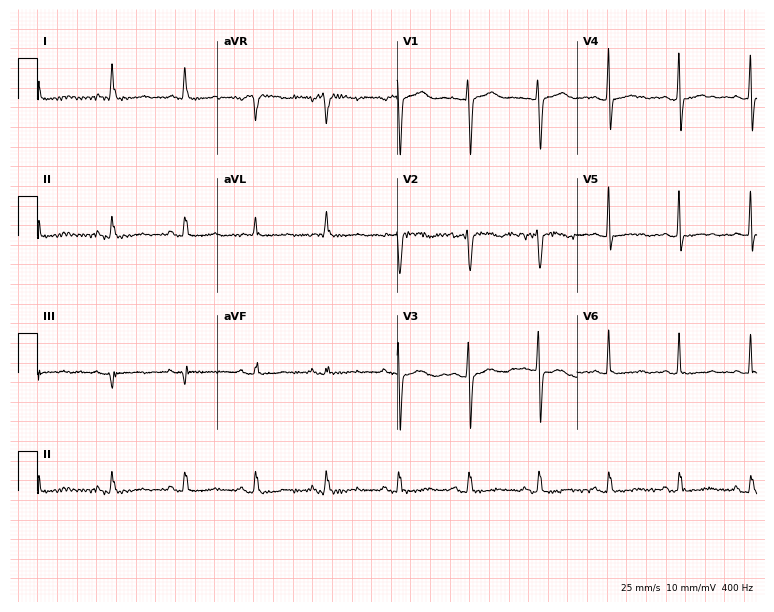
ECG — a female patient, 64 years old. Screened for six findings — first-degree AV block, right bundle branch block, left bundle branch block, sinus bradycardia, atrial fibrillation, sinus tachycardia — none is recorded. Only these six findings were labelled.